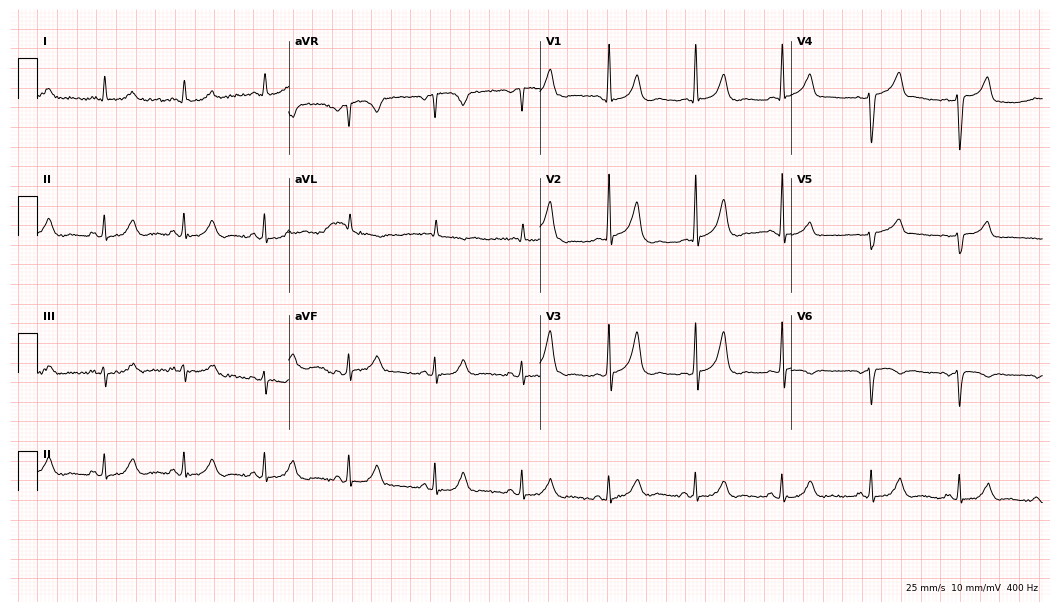
Resting 12-lead electrocardiogram. Patient: a woman, 21 years old. None of these six findings is recorded: first-degree AV block, right bundle branch block, left bundle branch block, sinus bradycardia, atrial fibrillation, sinus tachycardia. Only these six findings were labelled.